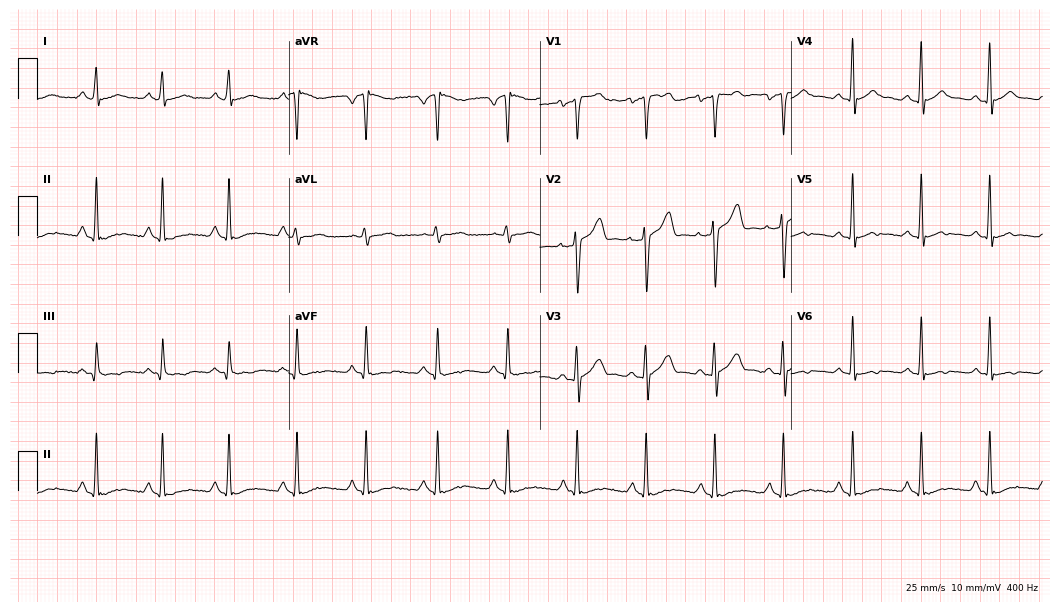
Electrocardiogram (10.2-second recording at 400 Hz), a man, 38 years old. Of the six screened findings (first-degree AV block, right bundle branch block (RBBB), left bundle branch block (LBBB), sinus bradycardia, atrial fibrillation (AF), sinus tachycardia), none is recorded.